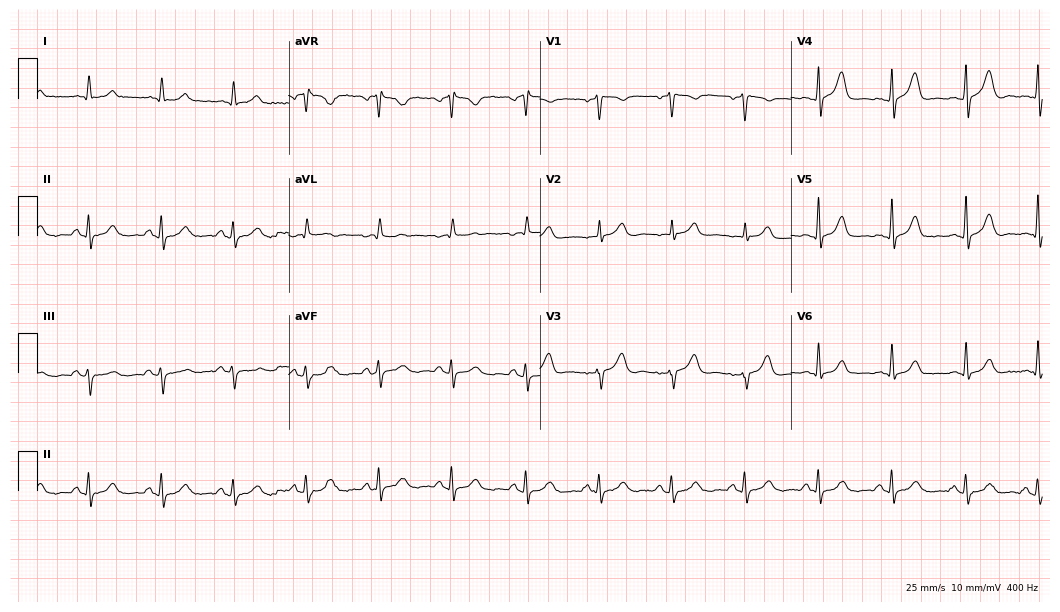
Resting 12-lead electrocardiogram (10.2-second recording at 400 Hz). Patient: a 50-year-old woman. Read as a normal ECG.